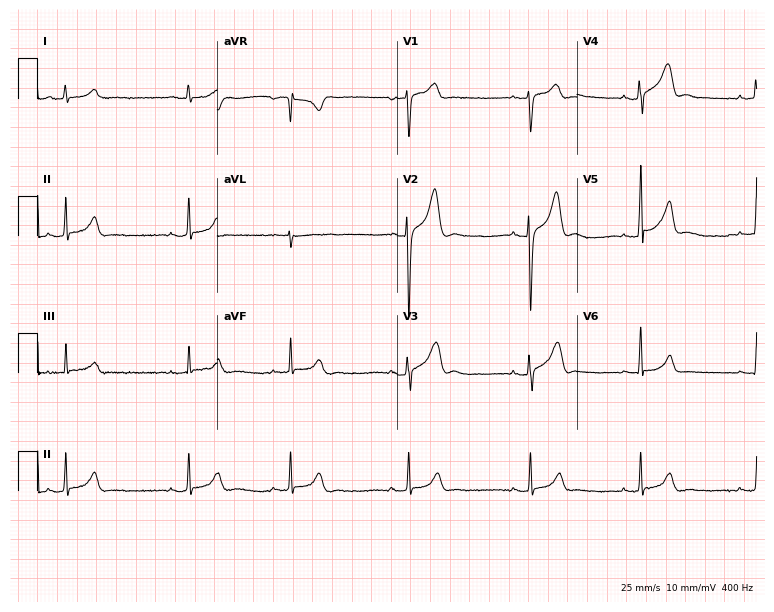
Resting 12-lead electrocardiogram (7.3-second recording at 400 Hz). Patient: a man, 25 years old. Read as a normal ECG.